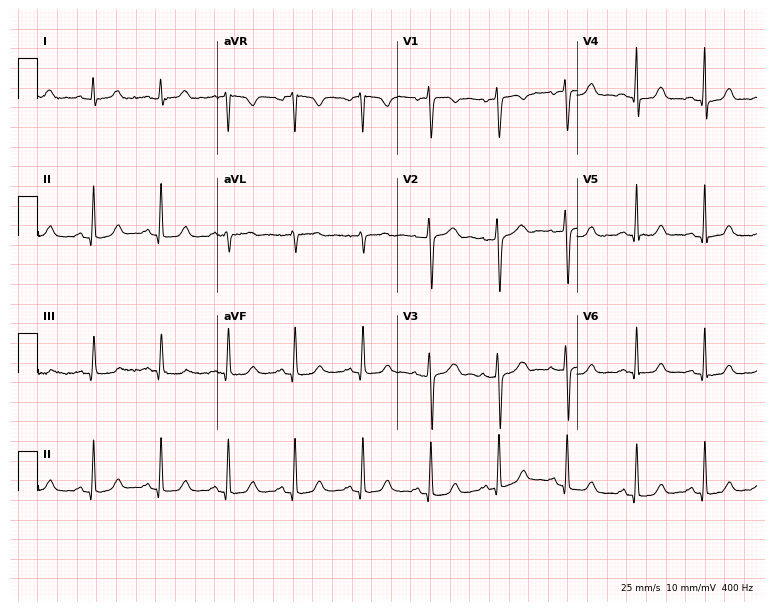
12-lead ECG from a female, 44 years old (7.3-second recording at 400 Hz). Recorded interpretation: within normal limits.